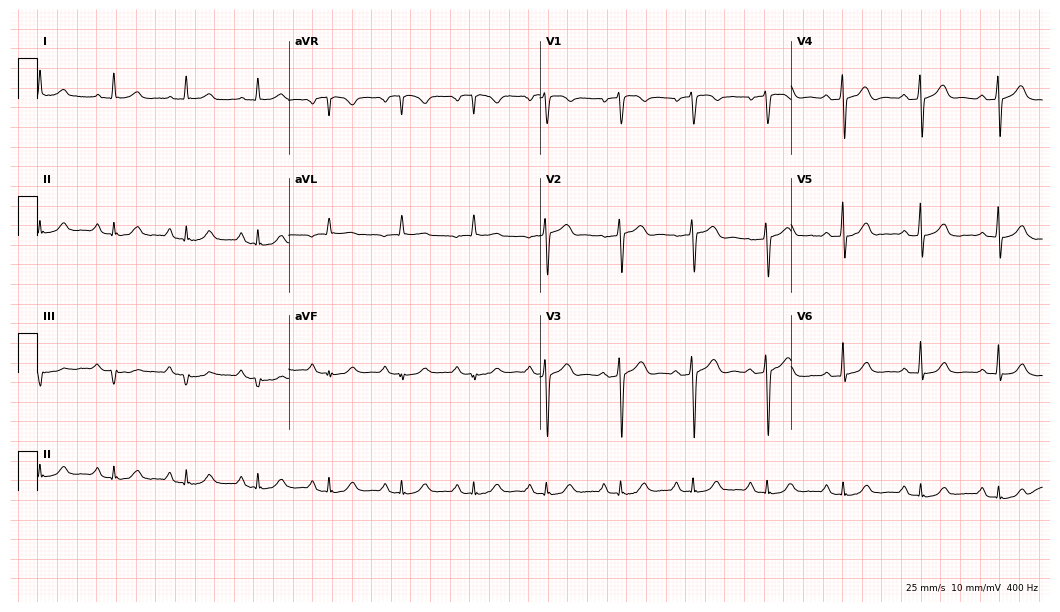
12-lead ECG from a 71-year-old male patient. No first-degree AV block, right bundle branch block, left bundle branch block, sinus bradycardia, atrial fibrillation or sinus tachycardia recorded for this tracing. Findings outside these six are not listed.